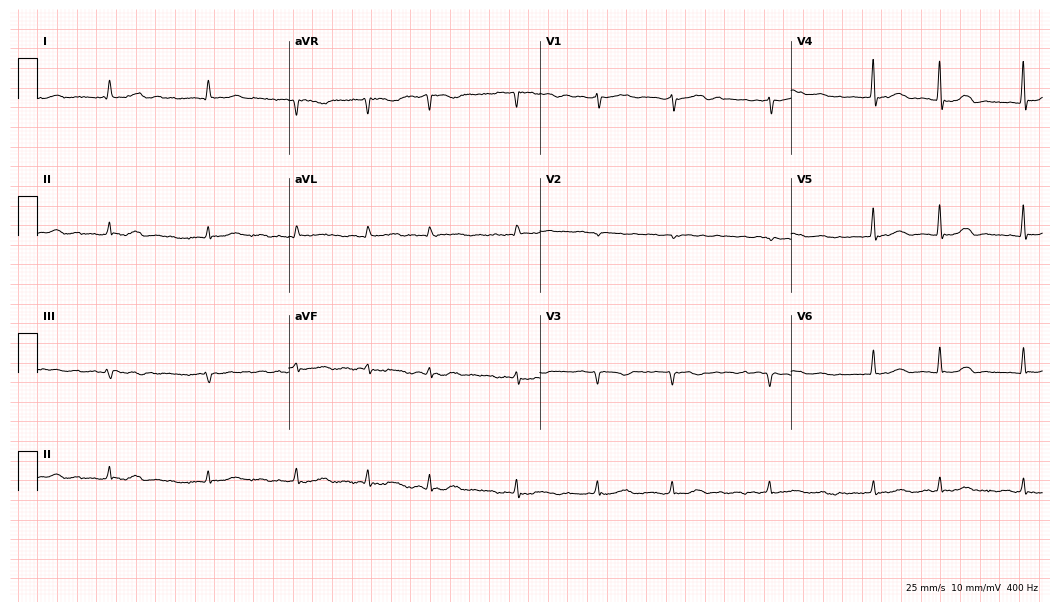
12-lead ECG from a female, 79 years old. Findings include atrial fibrillation.